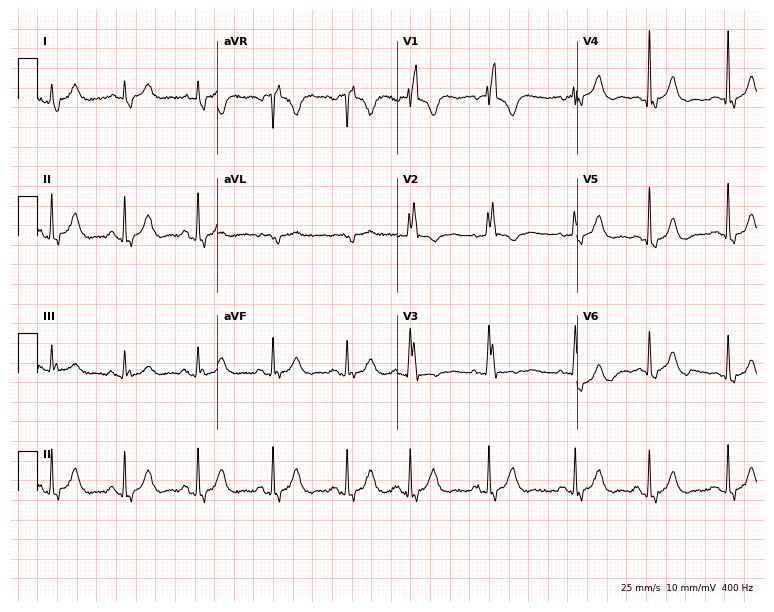
12-lead ECG from an 85-year-old woman (7.3-second recording at 400 Hz). Shows right bundle branch block.